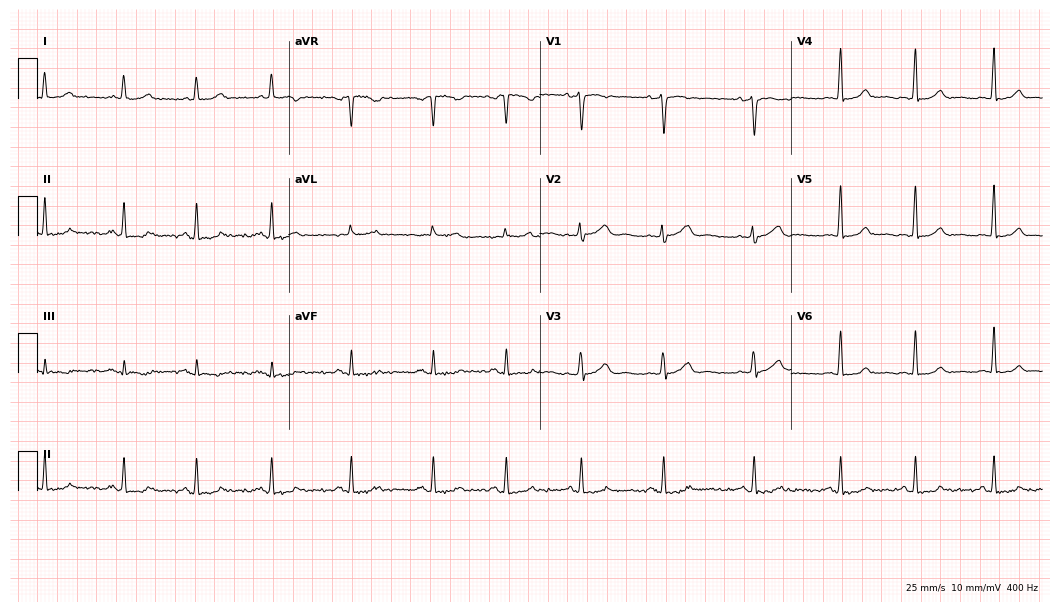
Resting 12-lead electrocardiogram. Patient: a female, 35 years old. None of these six findings is recorded: first-degree AV block, right bundle branch block (RBBB), left bundle branch block (LBBB), sinus bradycardia, atrial fibrillation (AF), sinus tachycardia. Findings outside these six are not listed.